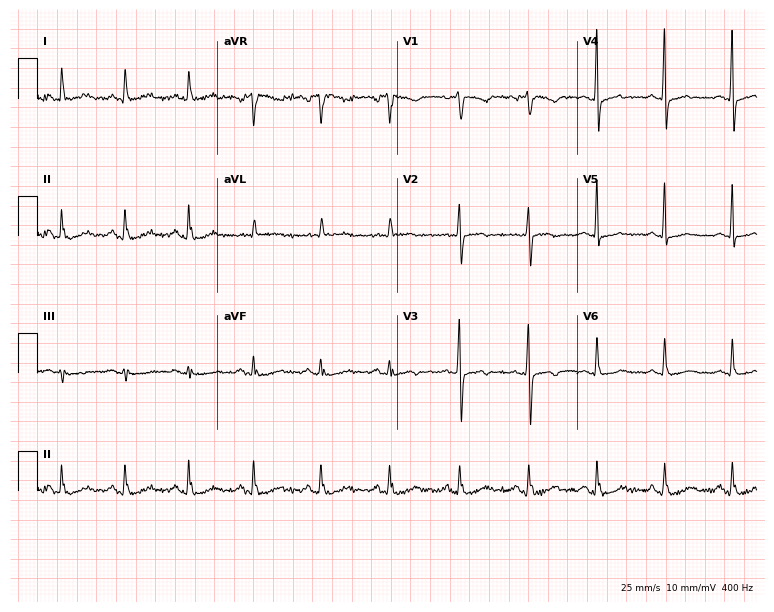
Standard 12-lead ECG recorded from a female patient, 58 years old (7.3-second recording at 400 Hz). None of these six findings is recorded: first-degree AV block, right bundle branch block, left bundle branch block, sinus bradycardia, atrial fibrillation, sinus tachycardia.